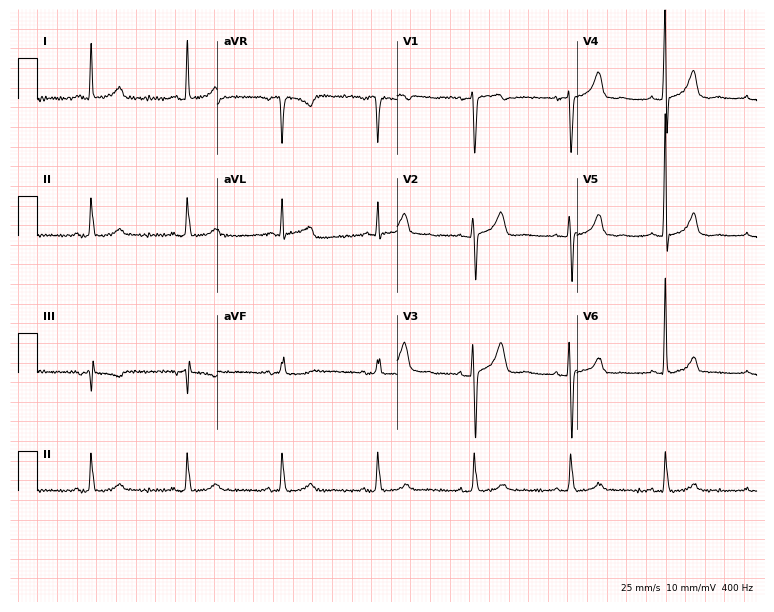
Resting 12-lead electrocardiogram (7.3-second recording at 400 Hz). Patient: a female, 58 years old. Read as a normal ECG.